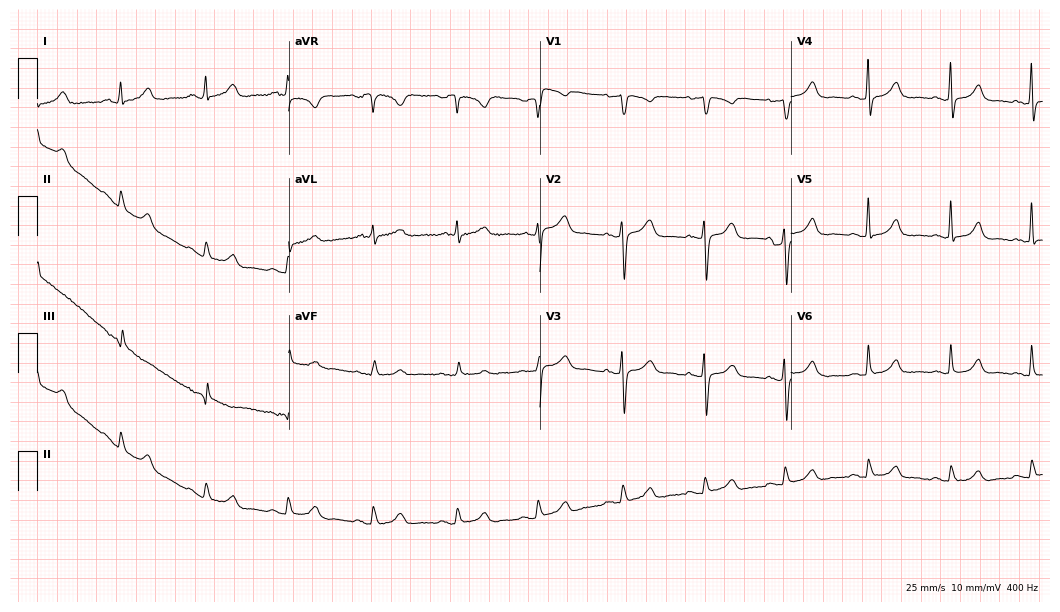
Electrocardiogram, a female, 52 years old. Overall reading on record: normal ECG.